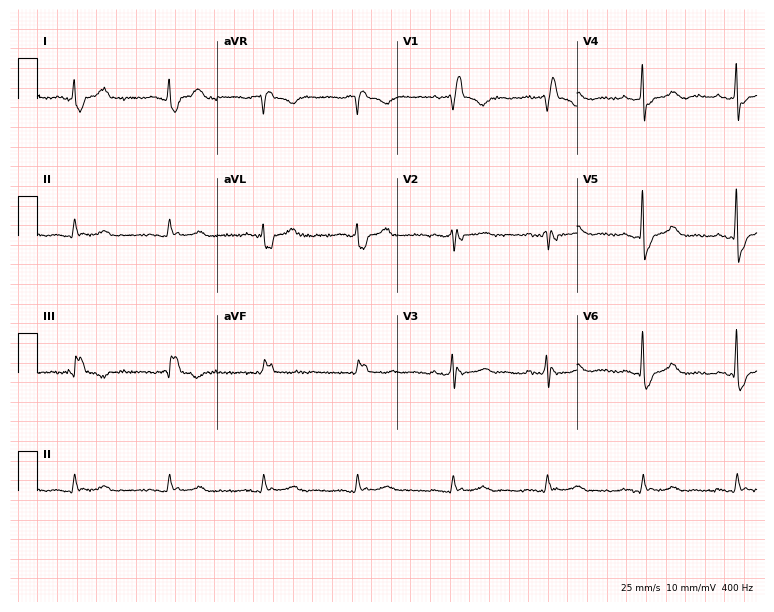
Resting 12-lead electrocardiogram (7.3-second recording at 400 Hz). Patient: a 76-year-old man. None of these six findings is recorded: first-degree AV block, right bundle branch block, left bundle branch block, sinus bradycardia, atrial fibrillation, sinus tachycardia.